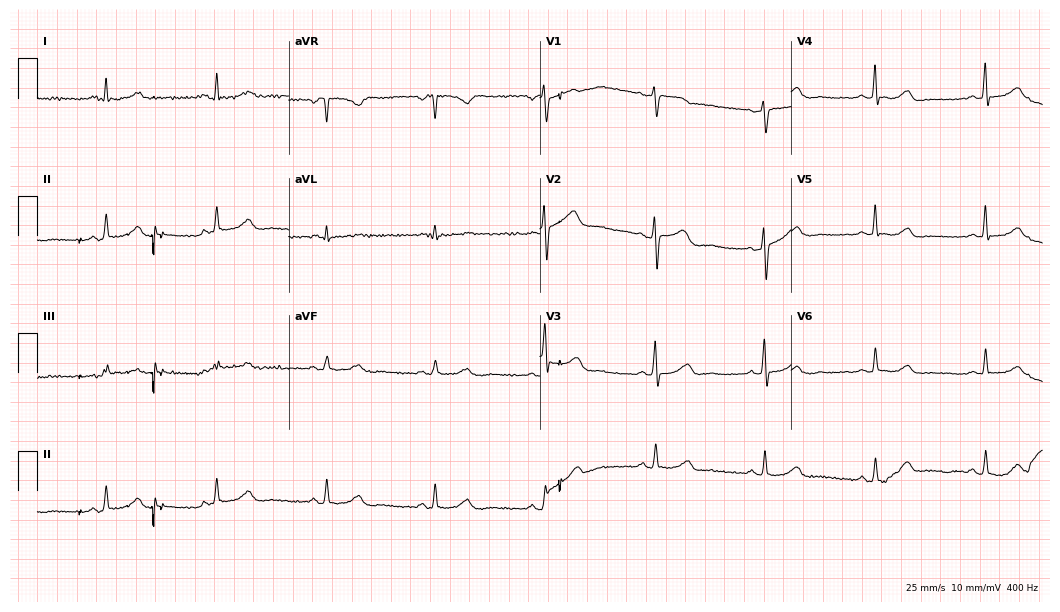
Resting 12-lead electrocardiogram. Patient: a female, 51 years old. Read as a normal ECG.